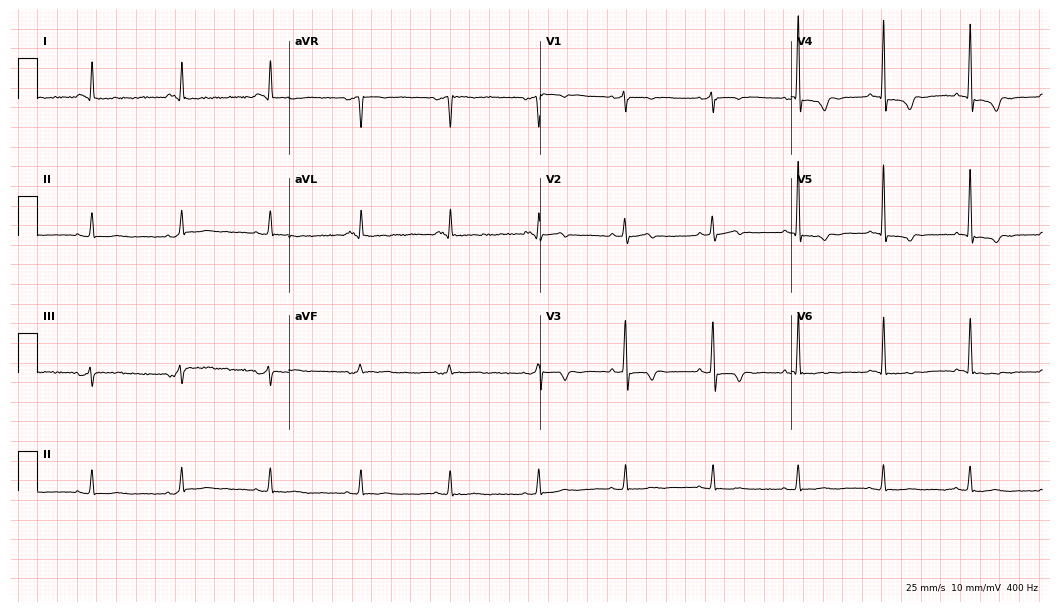
12-lead ECG (10.2-second recording at 400 Hz) from a 79-year-old man. Screened for six findings — first-degree AV block, right bundle branch block, left bundle branch block, sinus bradycardia, atrial fibrillation, sinus tachycardia — none is recorded.